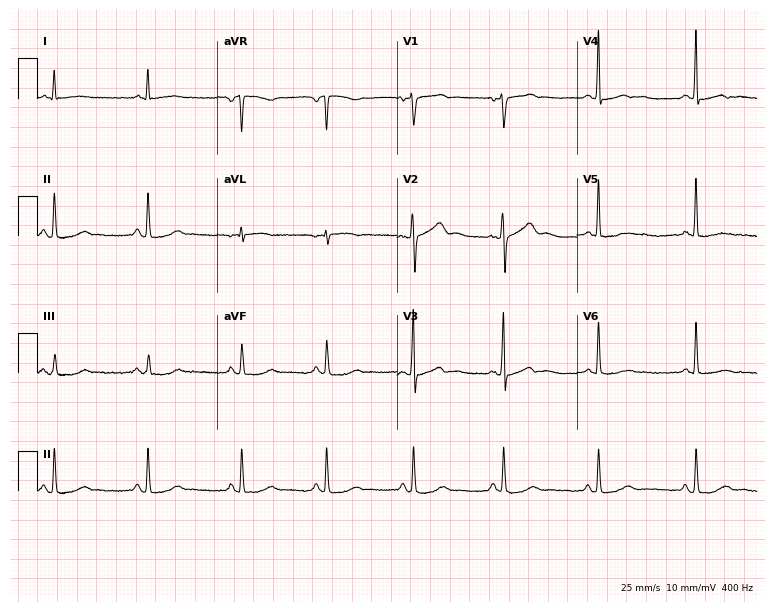
Standard 12-lead ECG recorded from a female, 54 years old (7.3-second recording at 400 Hz). None of these six findings is recorded: first-degree AV block, right bundle branch block, left bundle branch block, sinus bradycardia, atrial fibrillation, sinus tachycardia. Findings outside these six are not listed.